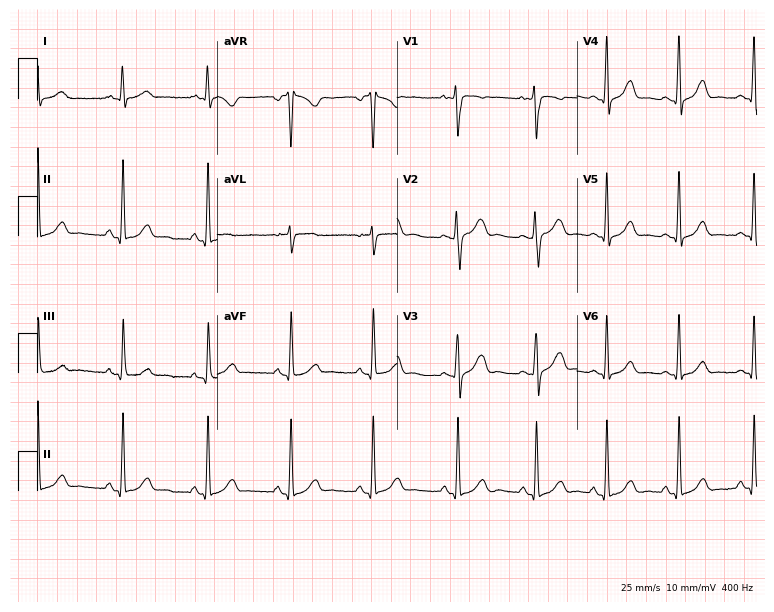
12-lead ECG from a female patient, 18 years old. Recorded interpretation: within normal limits.